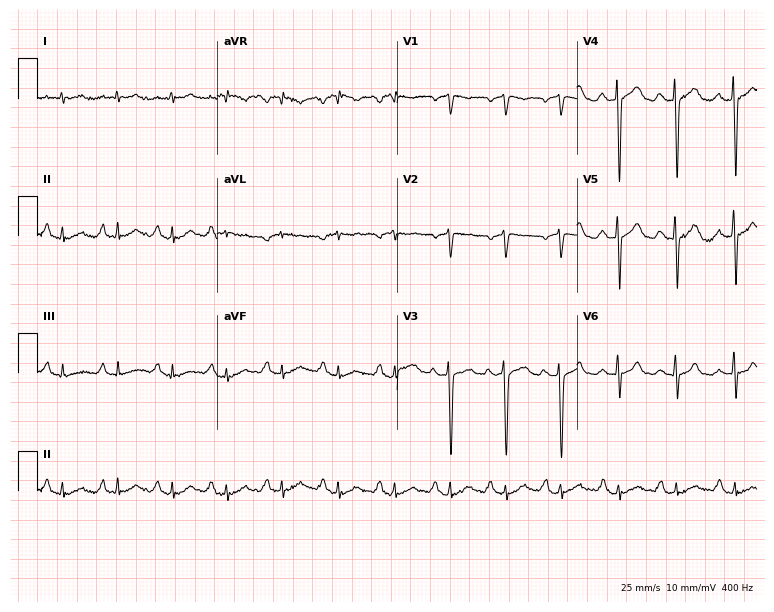
12-lead ECG (7.3-second recording at 400 Hz) from a 57-year-old male. Screened for six findings — first-degree AV block, right bundle branch block, left bundle branch block, sinus bradycardia, atrial fibrillation, sinus tachycardia — none is recorded. Other findings, if any, are not listed.